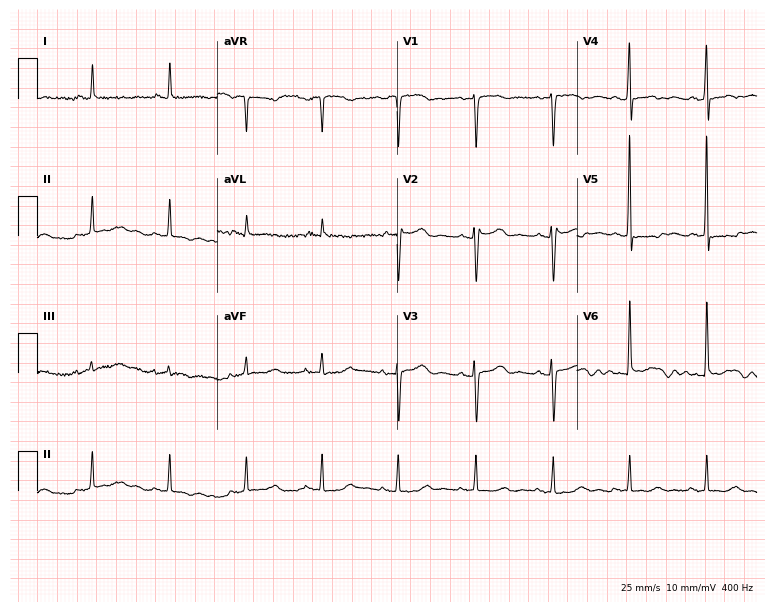
ECG — a 66-year-old woman. Screened for six findings — first-degree AV block, right bundle branch block (RBBB), left bundle branch block (LBBB), sinus bradycardia, atrial fibrillation (AF), sinus tachycardia — none is recorded. Other findings, if any, are not listed.